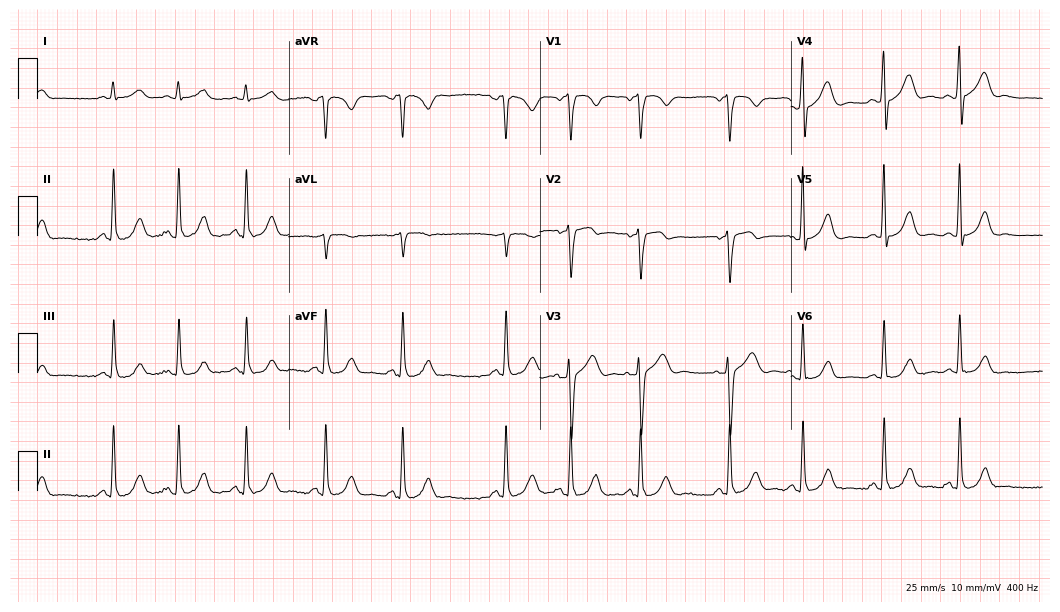
Standard 12-lead ECG recorded from a 66-year-old man (10.2-second recording at 400 Hz). Read as a normal ECG.